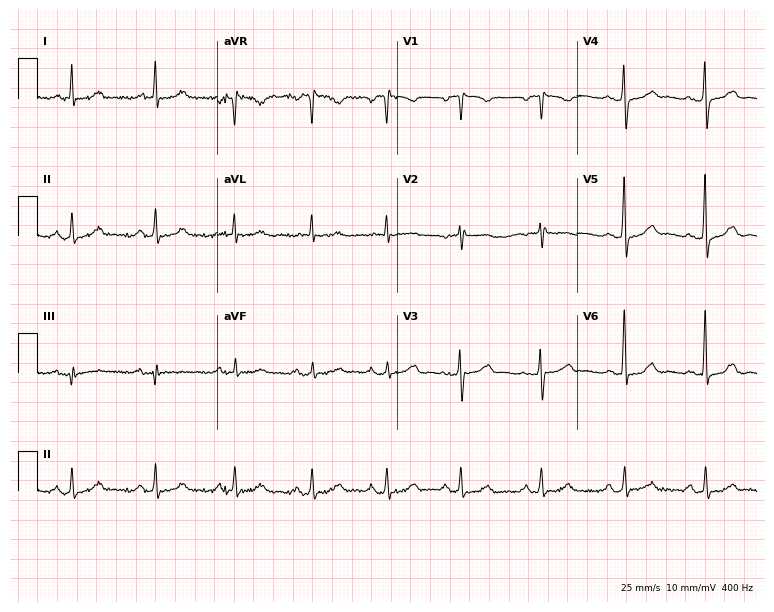
Resting 12-lead electrocardiogram. Patient: a 66-year-old man. Read as a normal ECG.